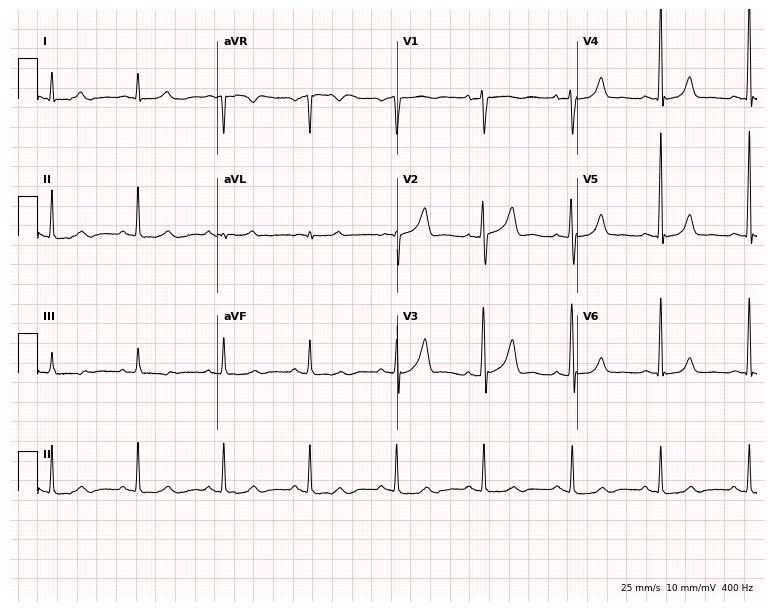
Standard 12-lead ECG recorded from a male, 72 years old. None of these six findings is recorded: first-degree AV block, right bundle branch block, left bundle branch block, sinus bradycardia, atrial fibrillation, sinus tachycardia.